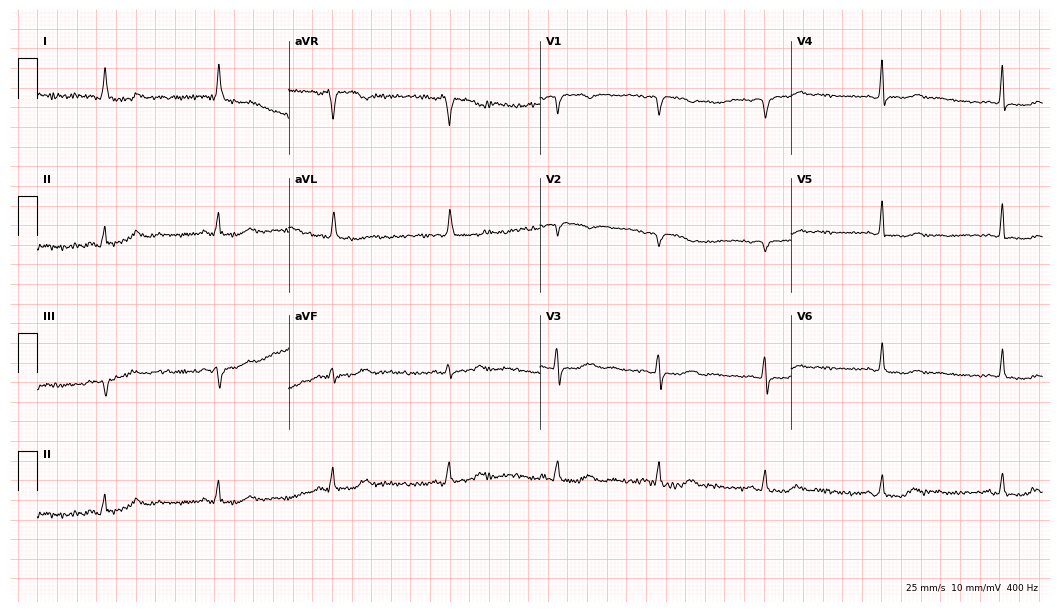
Resting 12-lead electrocardiogram (10.2-second recording at 400 Hz). Patient: a woman, 74 years old. None of these six findings is recorded: first-degree AV block, right bundle branch block, left bundle branch block, sinus bradycardia, atrial fibrillation, sinus tachycardia. Other findings, if any, are not listed.